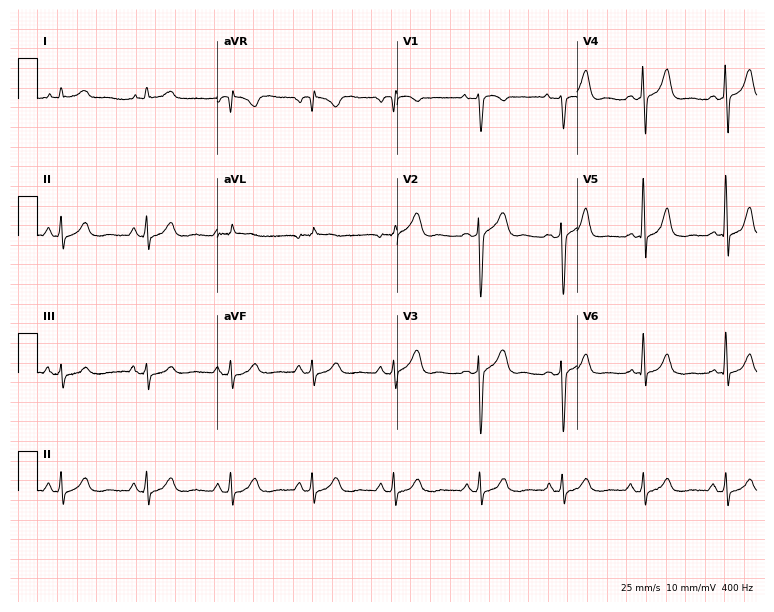
Standard 12-lead ECG recorded from a female patient, 50 years old. None of these six findings is recorded: first-degree AV block, right bundle branch block (RBBB), left bundle branch block (LBBB), sinus bradycardia, atrial fibrillation (AF), sinus tachycardia. Findings outside these six are not listed.